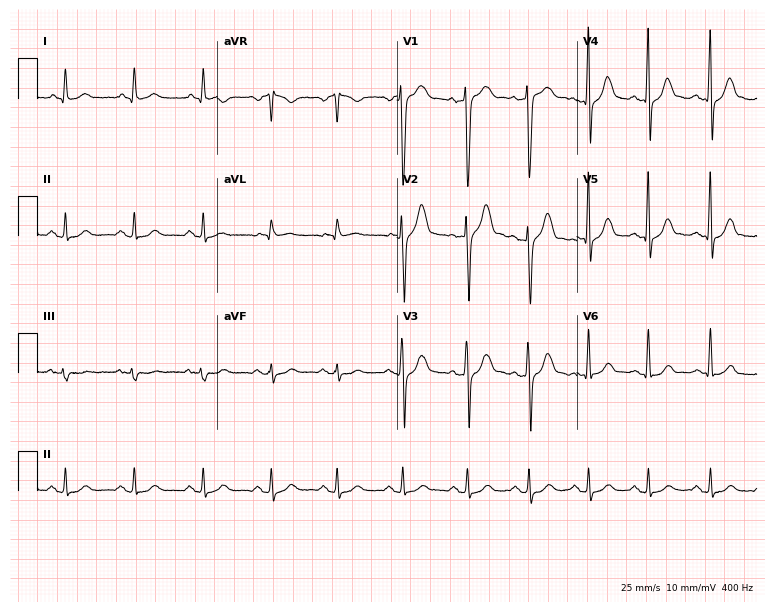
Standard 12-lead ECG recorded from a male patient, 42 years old (7.3-second recording at 400 Hz). None of these six findings is recorded: first-degree AV block, right bundle branch block (RBBB), left bundle branch block (LBBB), sinus bradycardia, atrial fibrillation (AF), sinus tachycardia. Findings outside these six are not listed.